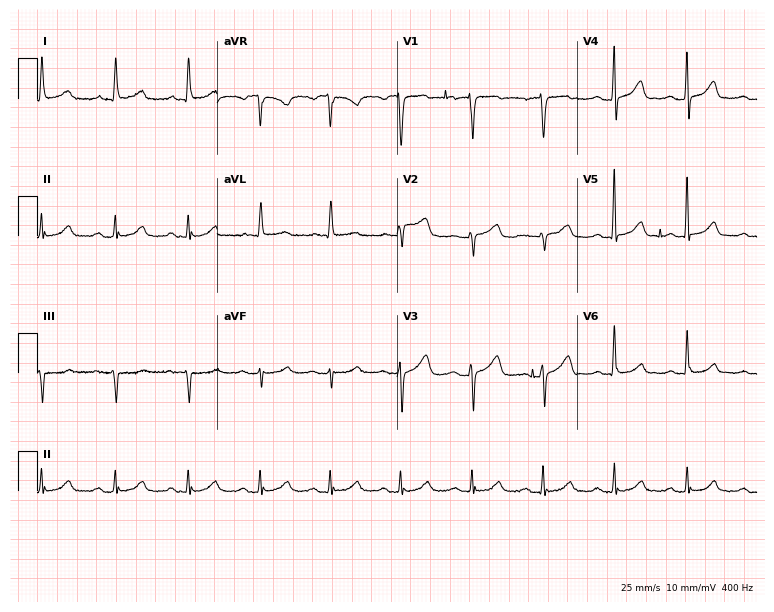
ECG (7.3-second recording at 400 Hz) — a 72-year-old female patient. Screened for six findings — first-degree AV block, right bundle branch block (RBBB), left bundle branch block (LBBB), sinus bradycardia, atrial fibrillation (AF), sinus tachycardia — none is recorded. Other findings, if any, are not listed.